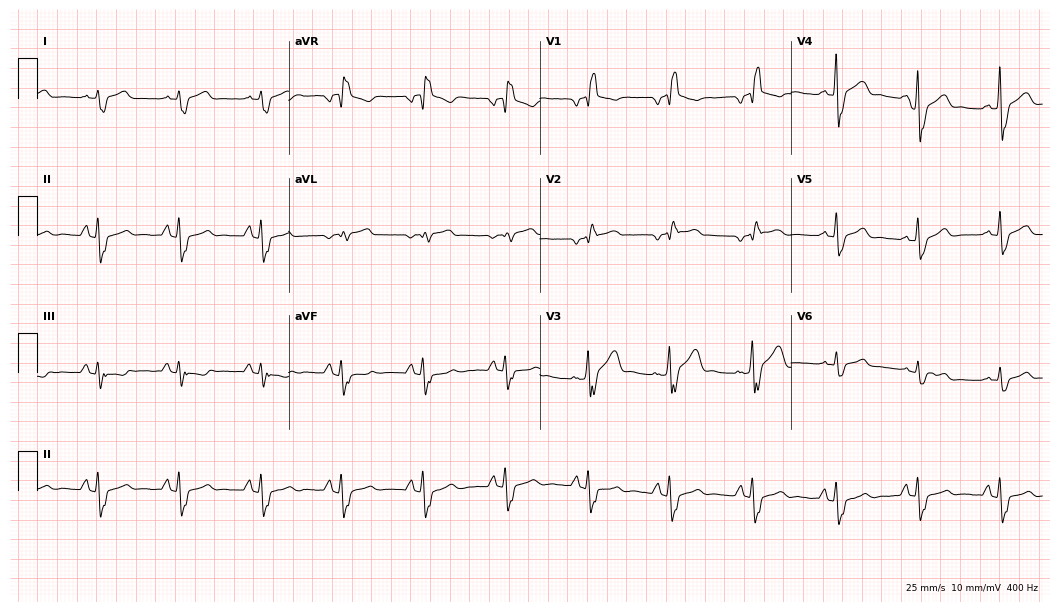
12-lead ECG from a 58-year-old male patient (10.2-second recording at 400 Hz). Shows right bundle branch block.